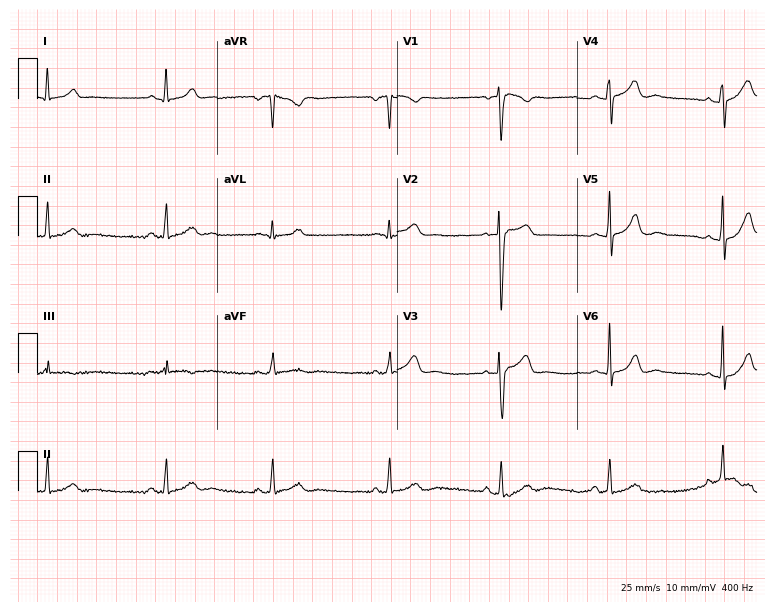
12-lead ECG from a woman, 21 years old (7.3-second recording at 400 Hz). Recorded interpretation: within normal limits.